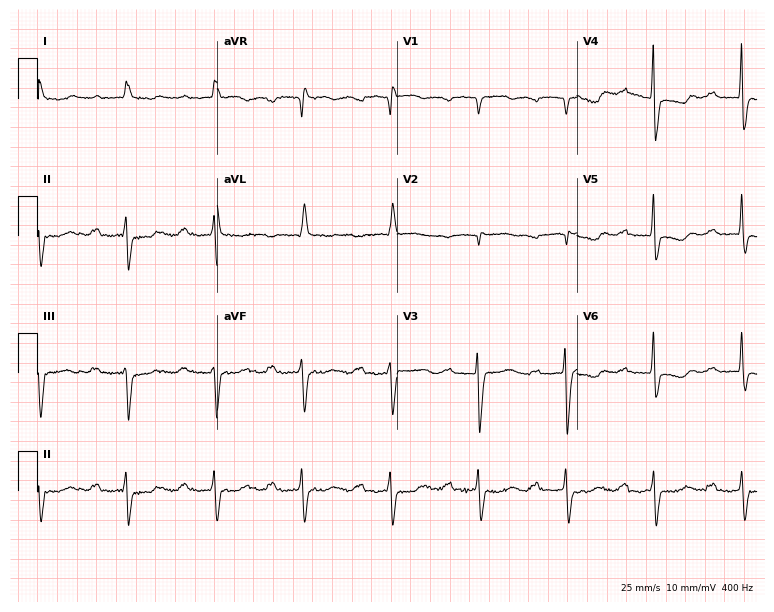
12-lead ECG from a woman, 82 years old. Findings include first-degree AV block, left bundle branch block.